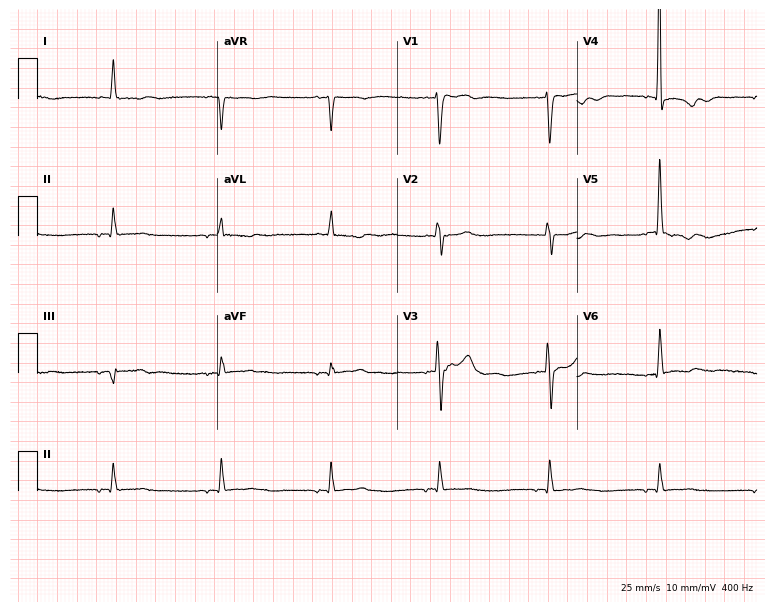
ECG — an 85-year-old male patient. Screened for six findings — first-degree AV block, right bundle branch block (RBBB), left bundle branch block (LBBB), sinus bradycardia, atrial fibrillation (AF), sinus tachycardia — none is recorded. Other findings, if any, are not listed.